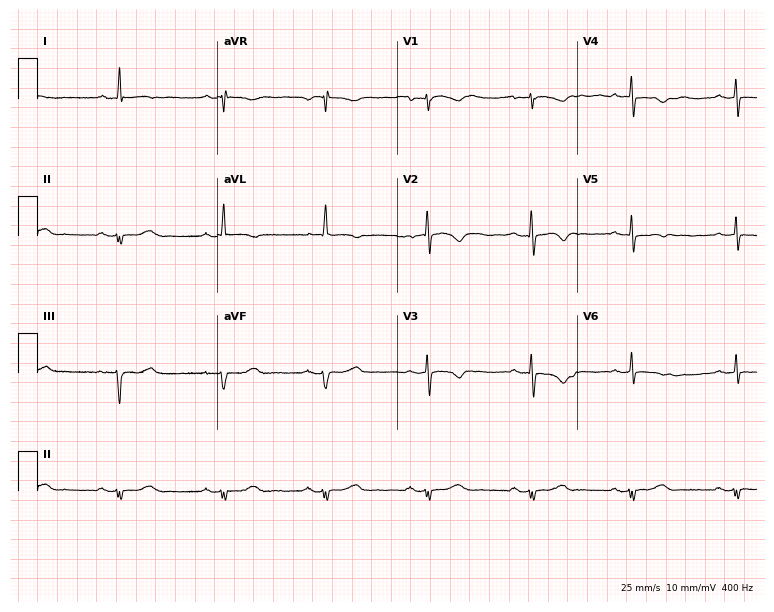
12-lead ECG from a female, 60 years old. No first-degree AV block, right bundle branch block, left bundle branch block, sinus bradycardia, atrial fibrillation or sinus tachycardia recorded for this tracing.